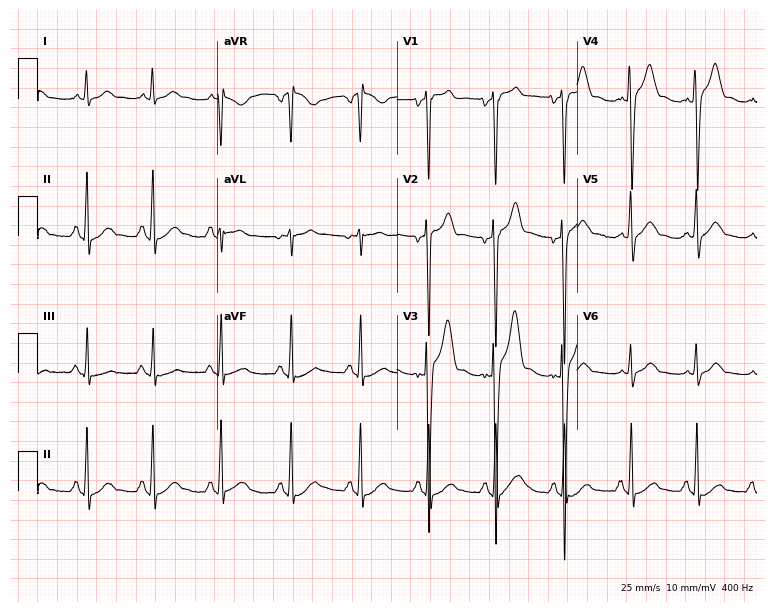
Electrocardiogram (7.3-second recording at 400 Hz), a 35-year-old man. Overall reading on record: normal ECG.